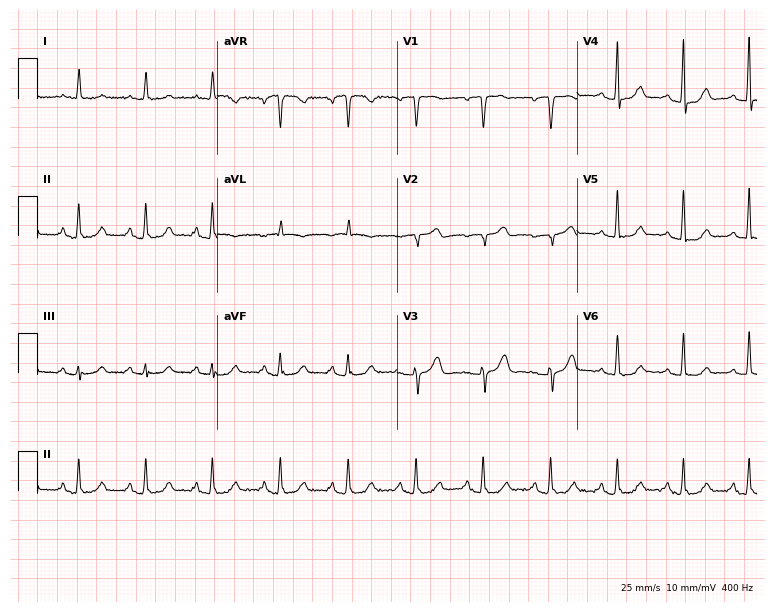
Resting 12-lead electrocardiogram (7.3-second recording at 400 Hz). Patient: a 64-year-old female. Read as a normal ECG.